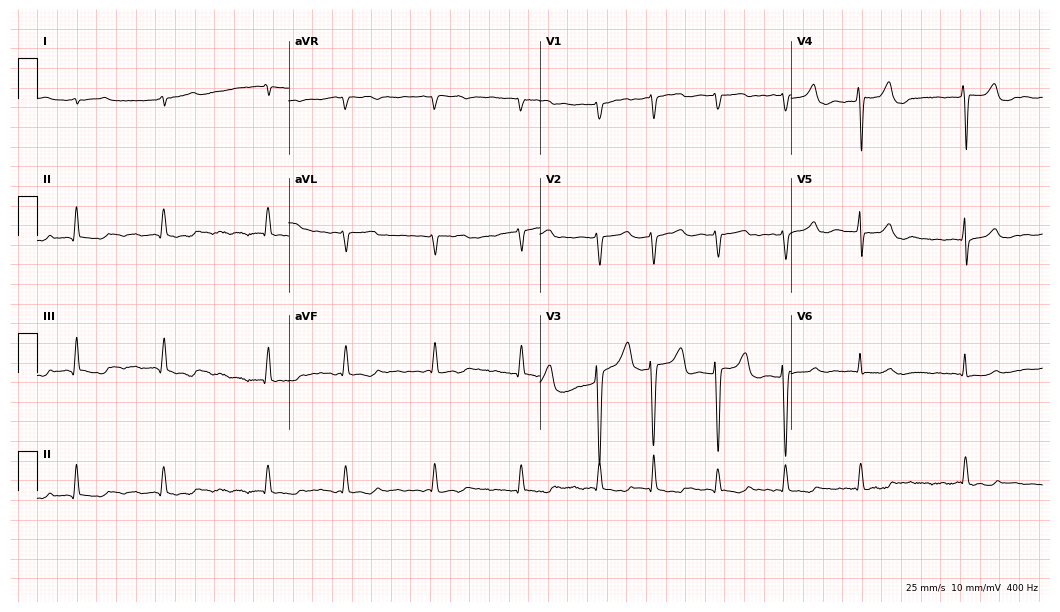
12-lead ECG from a man, 70 years old. Shows atrial fibrillation.